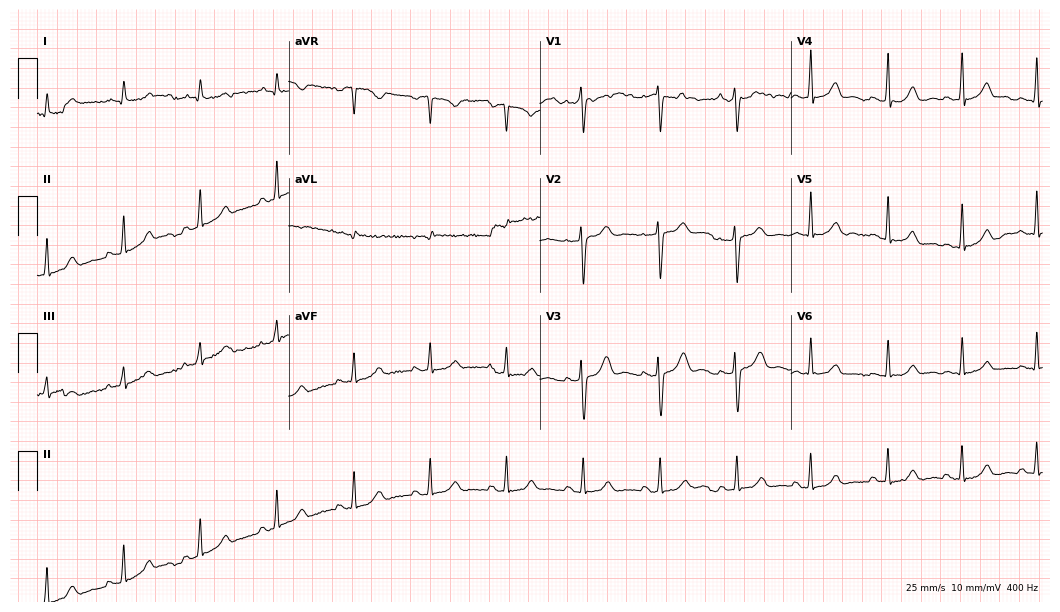
12-lead ECG from a woman, 27 years old. Screened for six findings — first-degree AV block, right bundle branch block, left bundle branch block, sinus bradycardia, atrial fibrillation, sinus tachycardia — none is recorded.